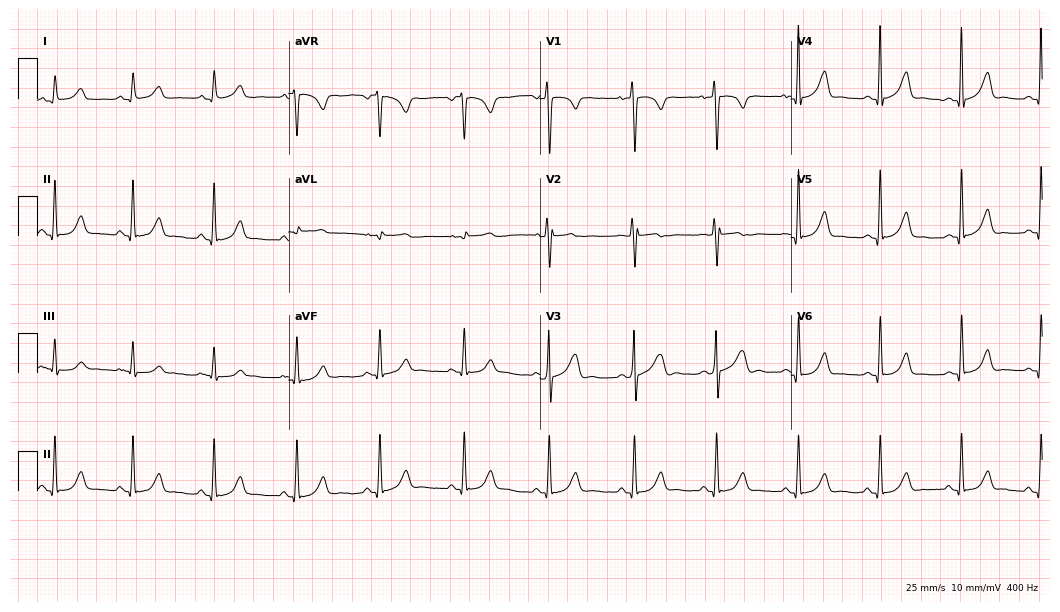
Resting 12-lead electrocardiogram. Patient: a 74-year-old male. Read as a normal ECG.